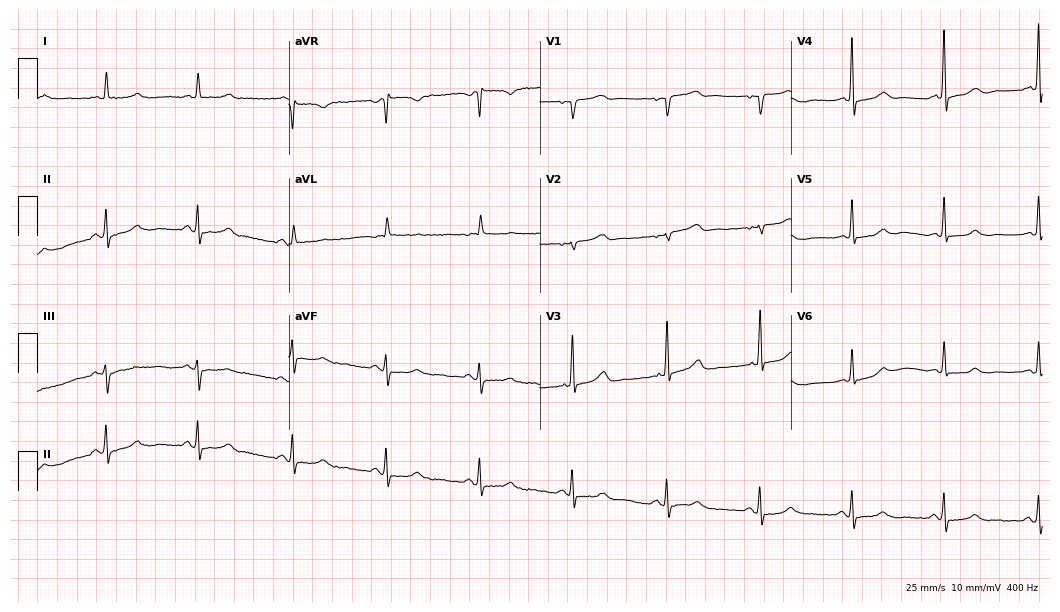
12-lead ECG from a female, 80 years old. Screened for six findings — first-degree AV block, right bundle branch block, left bundle branch block, sinus bradycardia, atrial fibrillation, sinus tachycardia — none is recorded.